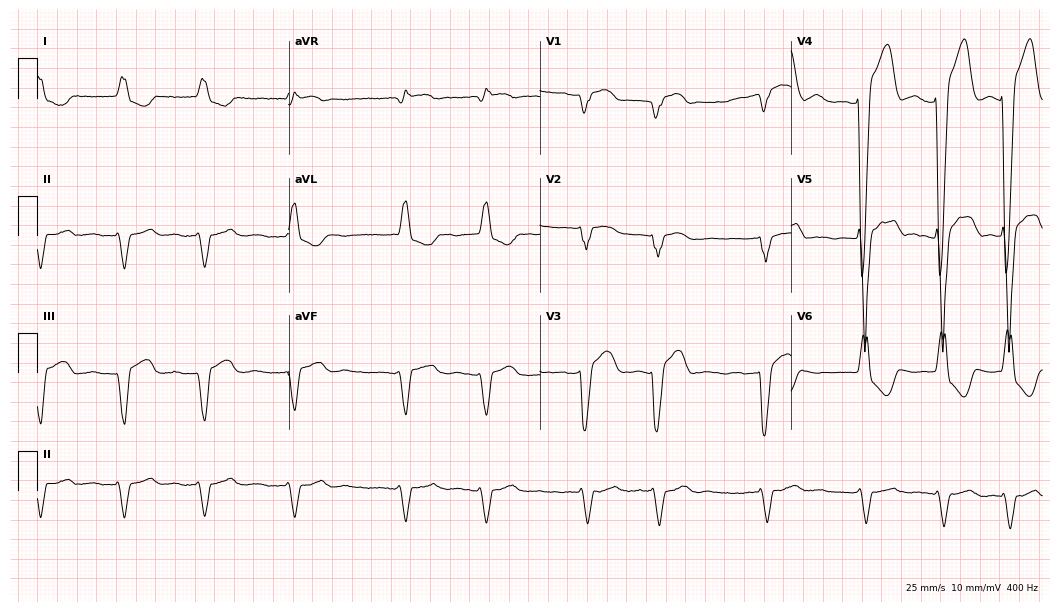
Standard 12-lead ECG recorded from a female, 77 years old. The tracing shows left bundle branch block (LBBB), atrial fibrillation (AF).